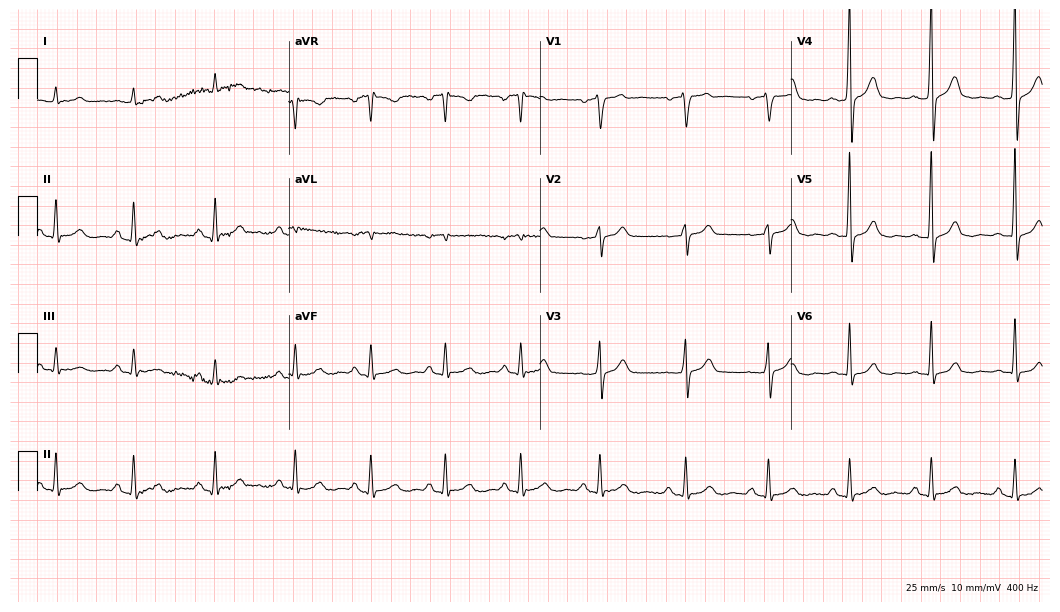
ECG — a 38-year-old male patient. Labelled as a normal ECG.